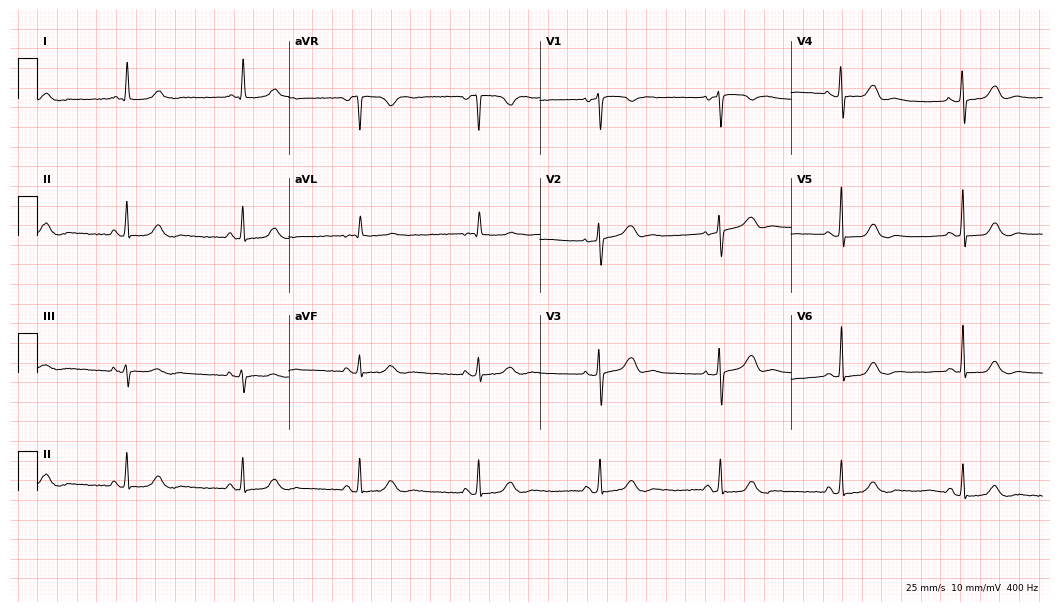
ECG — a female, 74 years old. Labelled as a normal ECG.